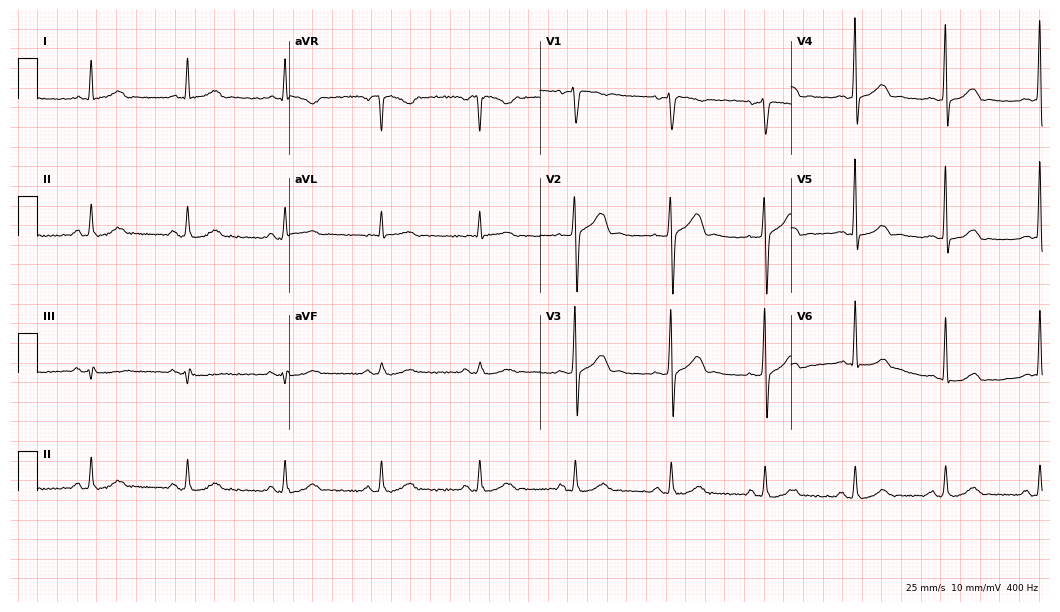
12-lead ECG (10.2-second recording at 400 Hz) from a 39-year-old male patient. Labelled as a normal ECG.